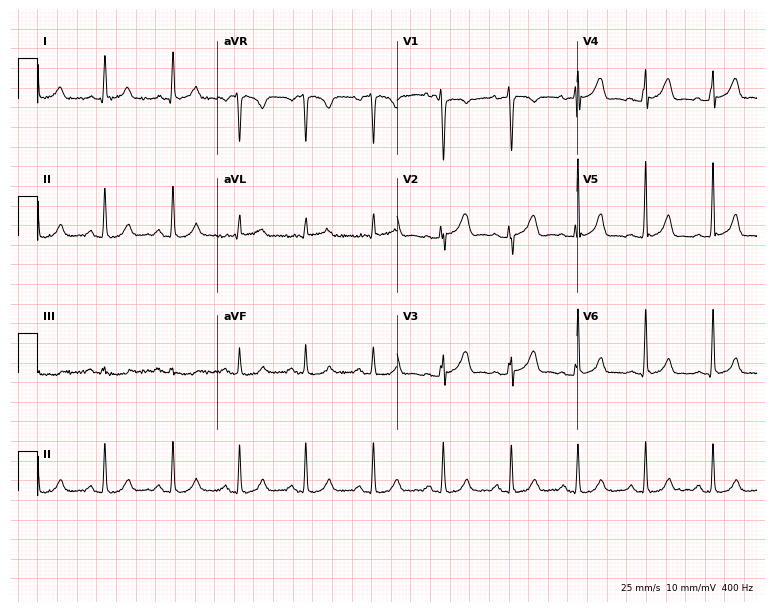
Standard 12-lead ECG recorded from a woman, 47 years old (7.3-second recording at 400 Hz). Read as a normal ECG.